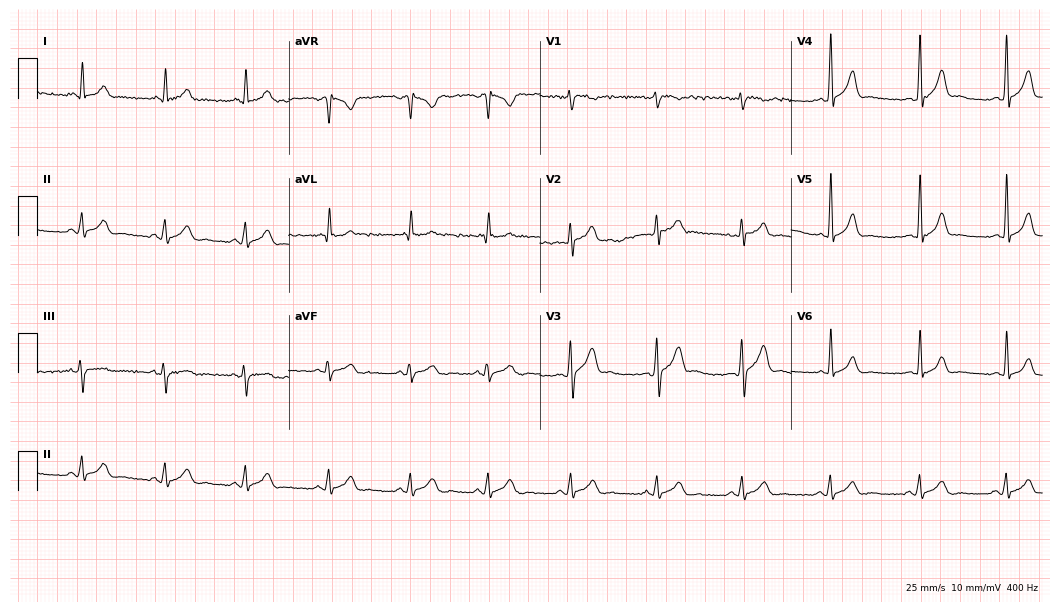
Electrocardiogram, a male patient, 21 years old. Of the six screened findings (first-degree AV block, right bundle branch block, left bundle branch block, sinus bradycardia, atrial fibrillation, sinus tachycardia), none is recorded. Only these six findings were labelled.